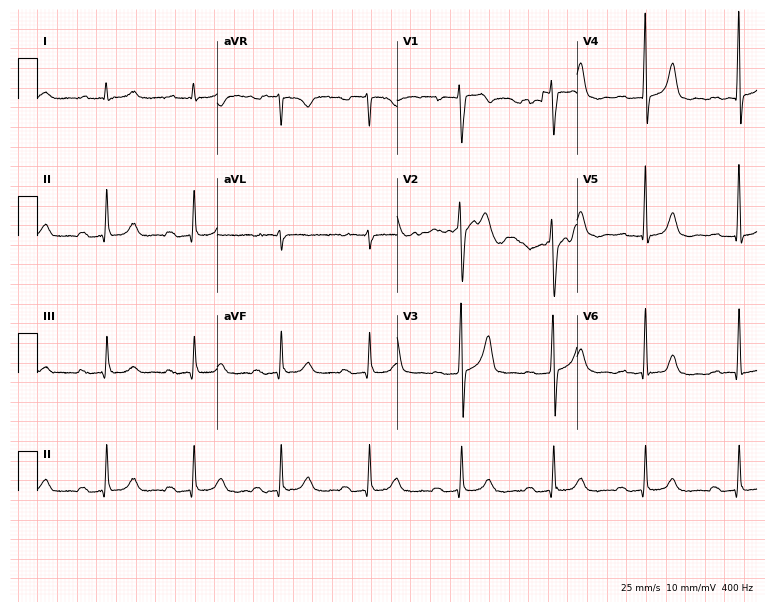
ECG — a male, 69 years old. Findings include first-degree AV block.